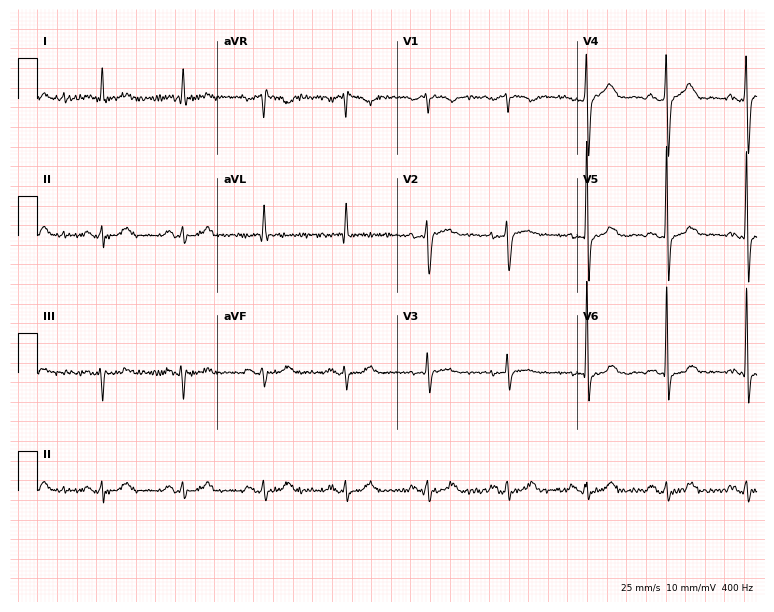
12-lead ECG from a male patient, 71 years old. No first-degree AV block, right bundle branch block (RBBB), left bundle branch block (LBBB), sinus bradycardia, atrial fibrillation (AF) or sinus tachycardia recorded for this tracing. Findings outside these six are not listed.